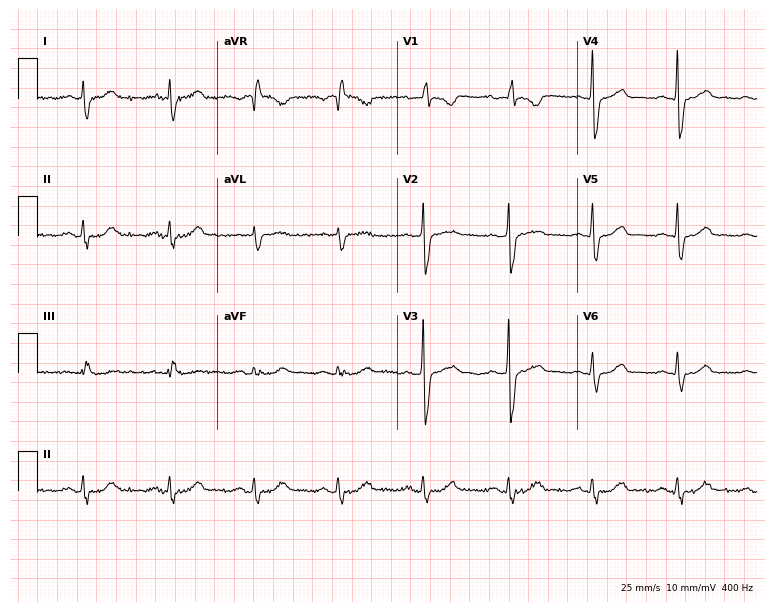
12-lead ECG (7.3-second recording at 400 Hz) from a man, 62 years old. Findings include right bundle branch block (RBBB).